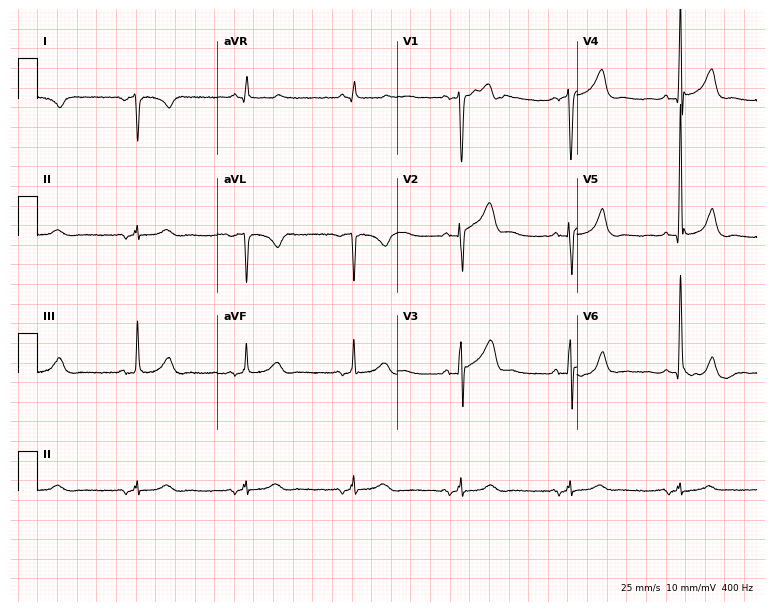
Electrocardiogram (7.3-second recording at 400 Hz), a male patient, 69 years old. Of the six screened findings (first-degree AV block, right bundle branch block, left bundle branch block, sinus bradycardia, atrial fibrillation, sinus tachycardia), none is recorded.